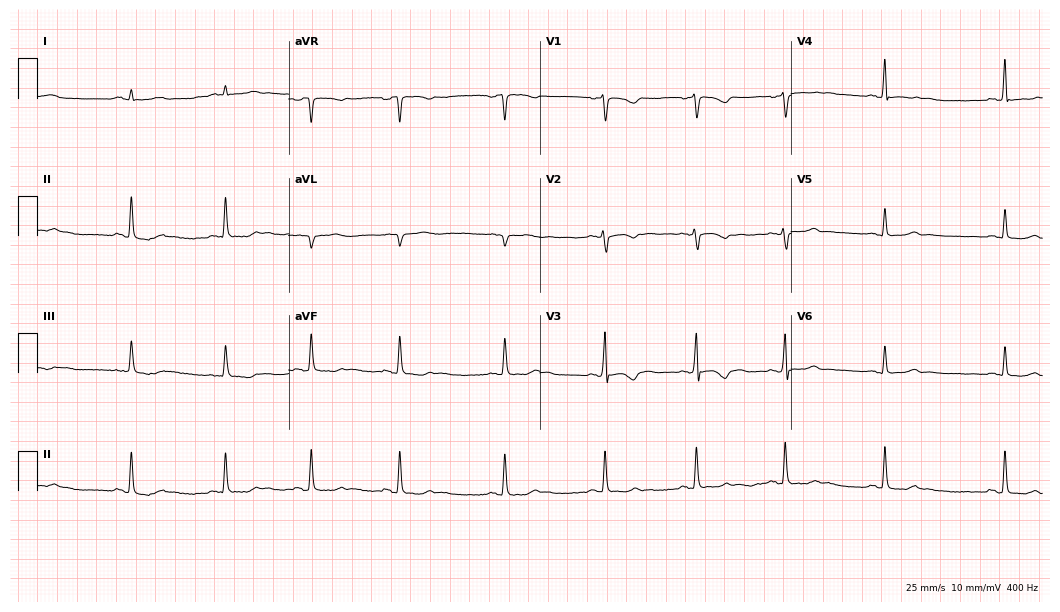
12-lead ECG (10.2-second recording at 400 Hz) from a female, 23 years old. Screened for six findings — first-degree AV block, right bundle branch block, left bundle branch block, sinus bradycardia, atrial fibrillation, sinus tachycardia — none is recorded. Other findings, if any, are not listed.